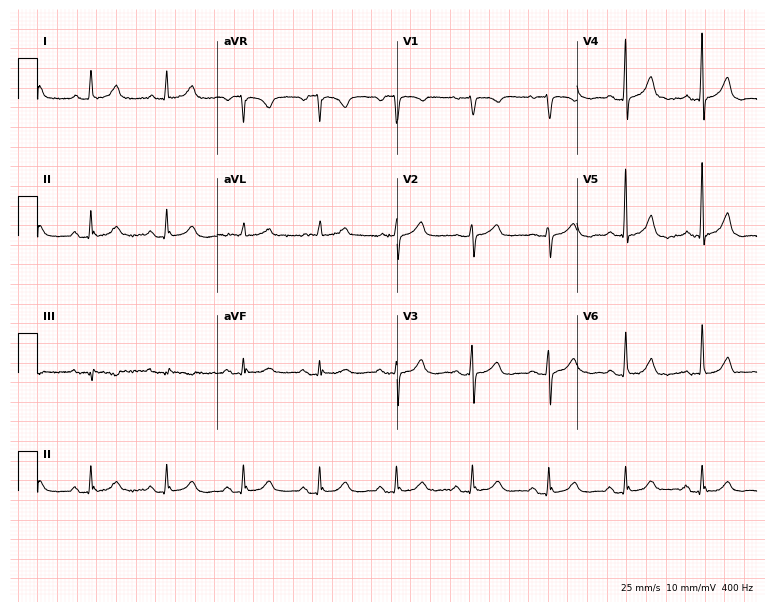
12-lead ECG from a 73-year-old female (7.3-second recording at 400 Hz). No first-degree AV block, right bundle branch block (RBBB), left bundle branch block (LBBB), sinus bradycardia, atrial fibrillation (AF) or sinus tachycardia recorded for this tracing.